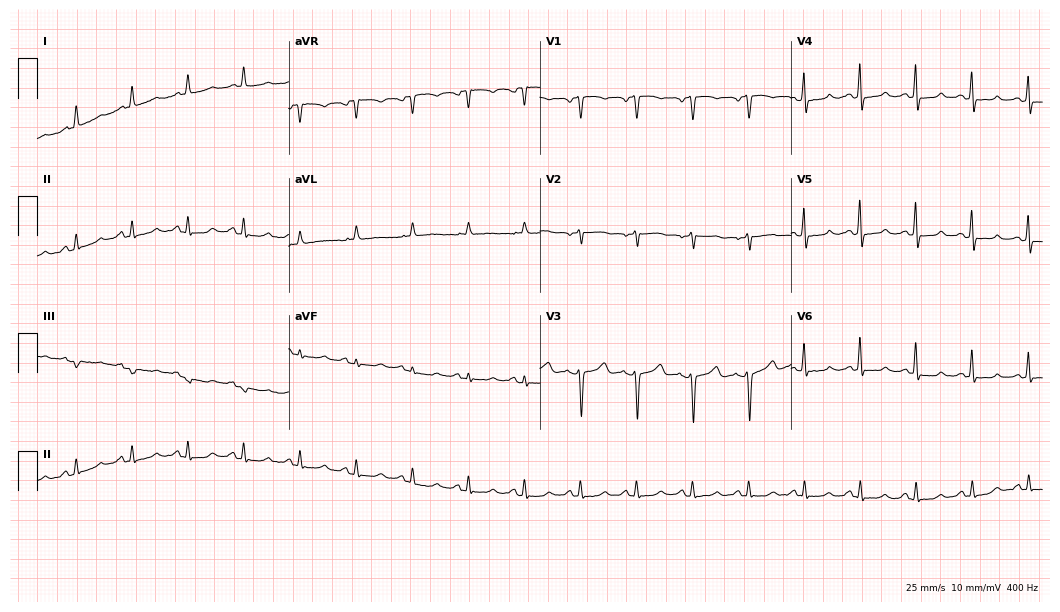
12-lead ECG from a woman, 60 years old. Shows sinus tachycardia (a sinus rate of 100 beats per minute or more).